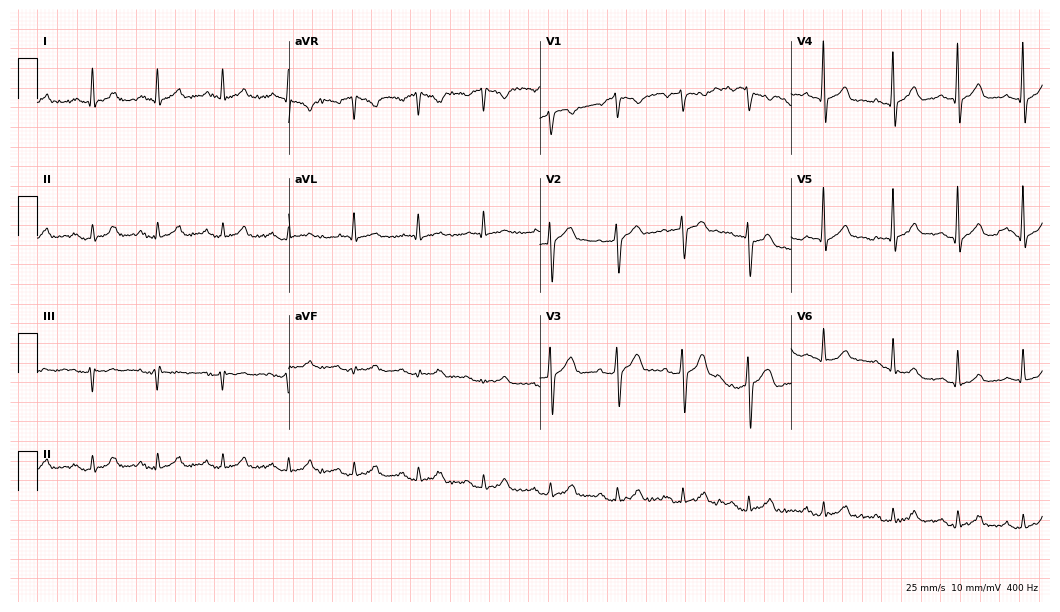
12-lead ECG from a 48-year-old male patient (10.2-second recording at 400 Hz). Recorded interpretation: within normal limits.